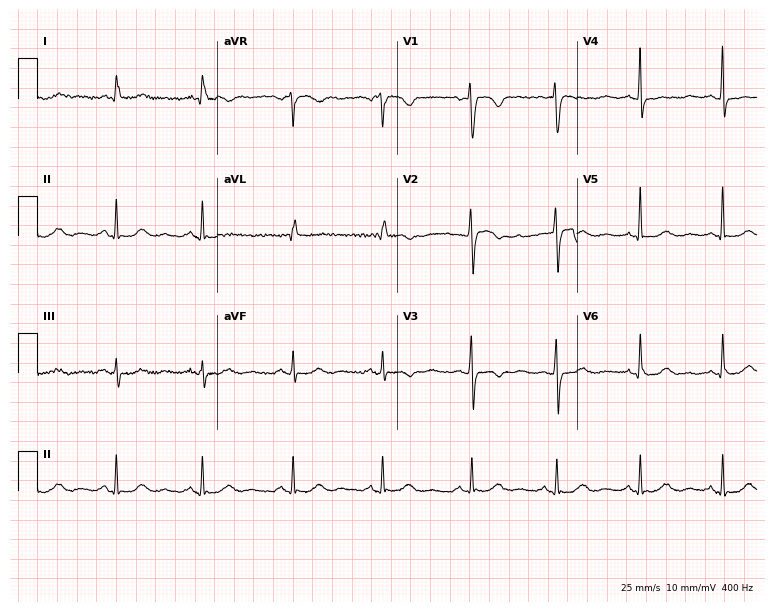
12-lead ECG from a female, 59 years old. Screened for six findings — first-degree AV block, right bundle branch block (RBBB), left bundle branch block (LBBB), sinus bradycardia, atrial fibrillation (AF), sinus tachycardia — none is recorded. Only these six findings were labelled.